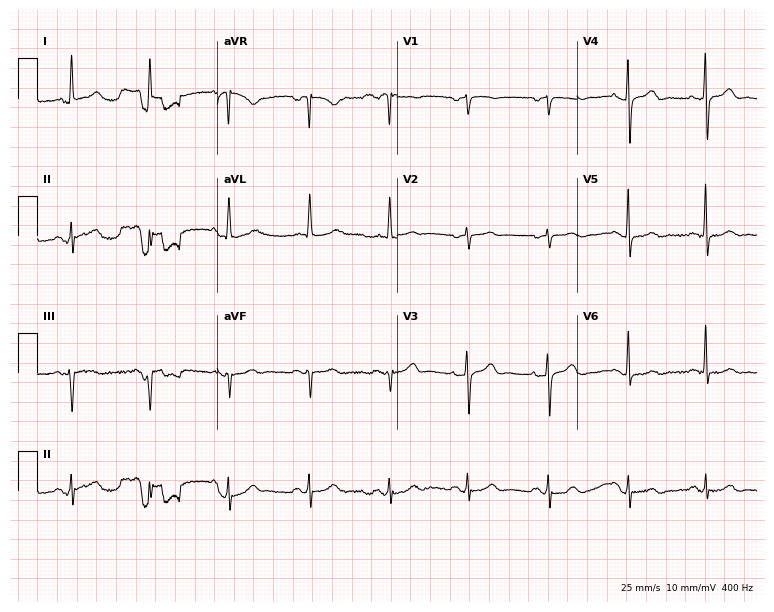
Resting 12-lead electrocardiogram (7.3-second recording at 400 Hz). Patient: a woman, 79 years old. Read as a normal ECG.